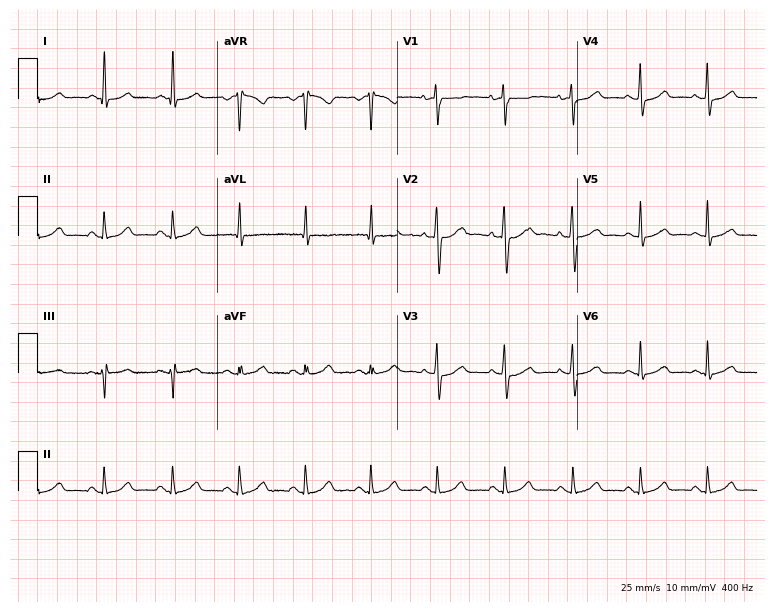
Resting 12-lead electrocardiogram. Patient: a woman, 42 years old. None of these six findings is recorded: first-degree AV block, right bundle branch block (RBBB), left bundle branch block (LBBB), sinus bradycardia, atrial fibrillation (AF), sinus tachycardia. Other findings, if any, are not listed.